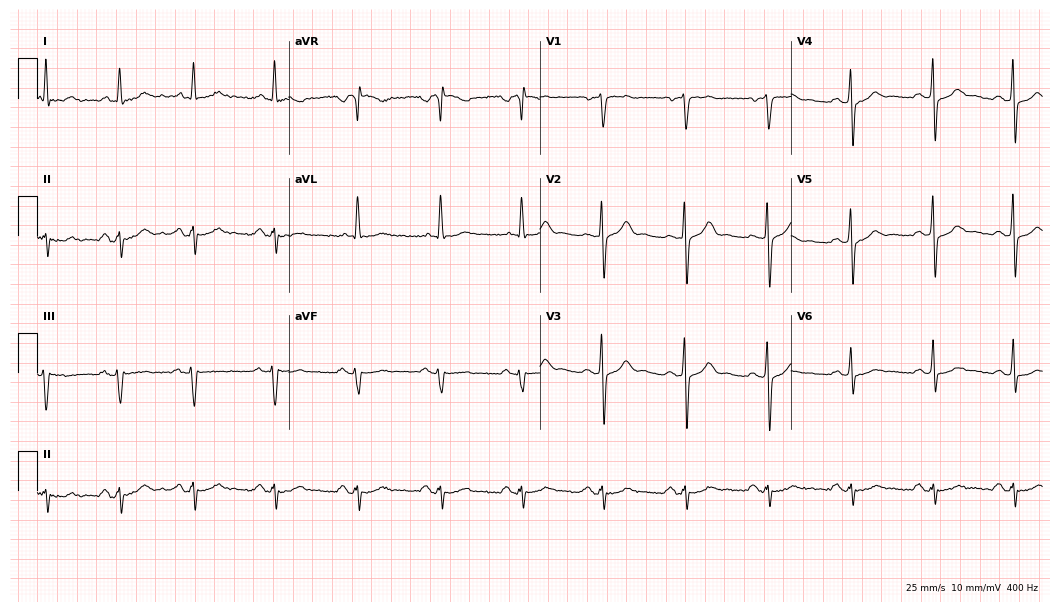
ECG — a male patient, 49 years old. Labelled as a normal ECG.